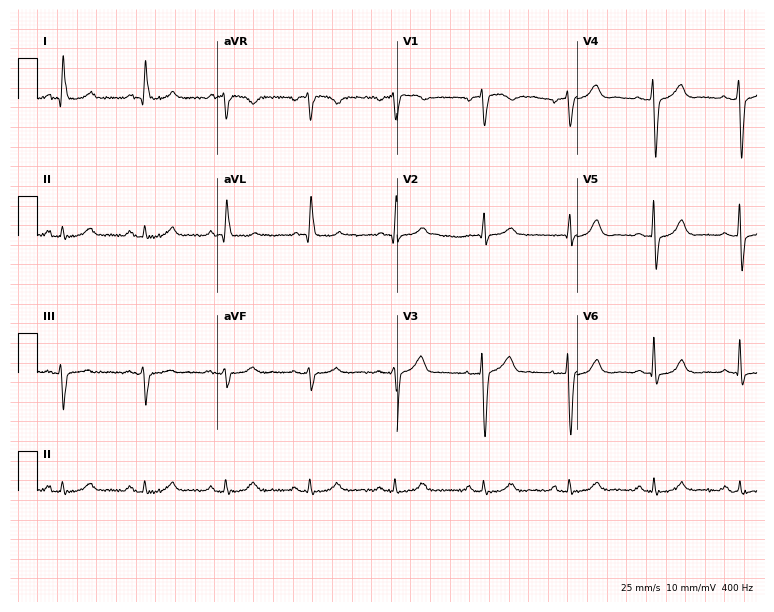
Electrocardiogram, a male, 77 years old. Overall reading on record: normal ECG.